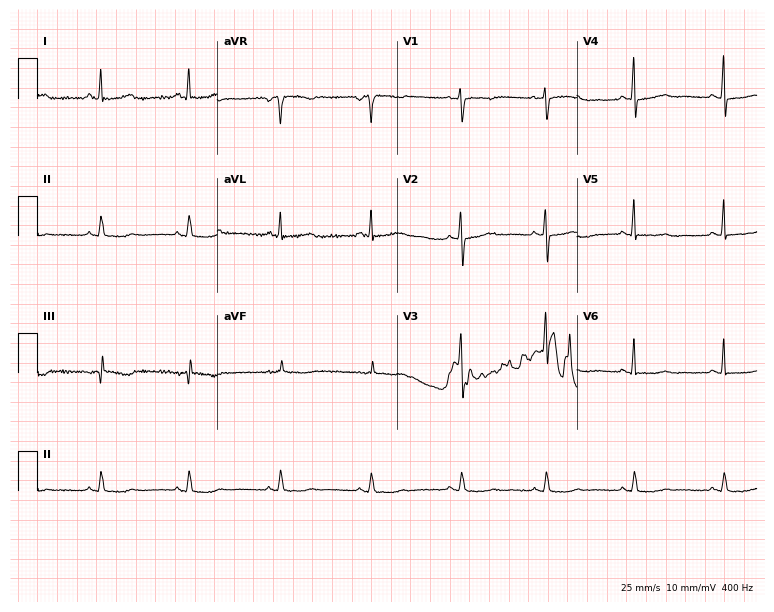
Electrocardiogram, a female, 67 years old. Of the six screened findings (first-degree AV block, right bundle branch block (RBBB), left bundle branch block (LBBB), sinus bradycardia, atrial fibrillation (AF), sinus tachycardia), none is recorded. Other findings, if any, are not listed.